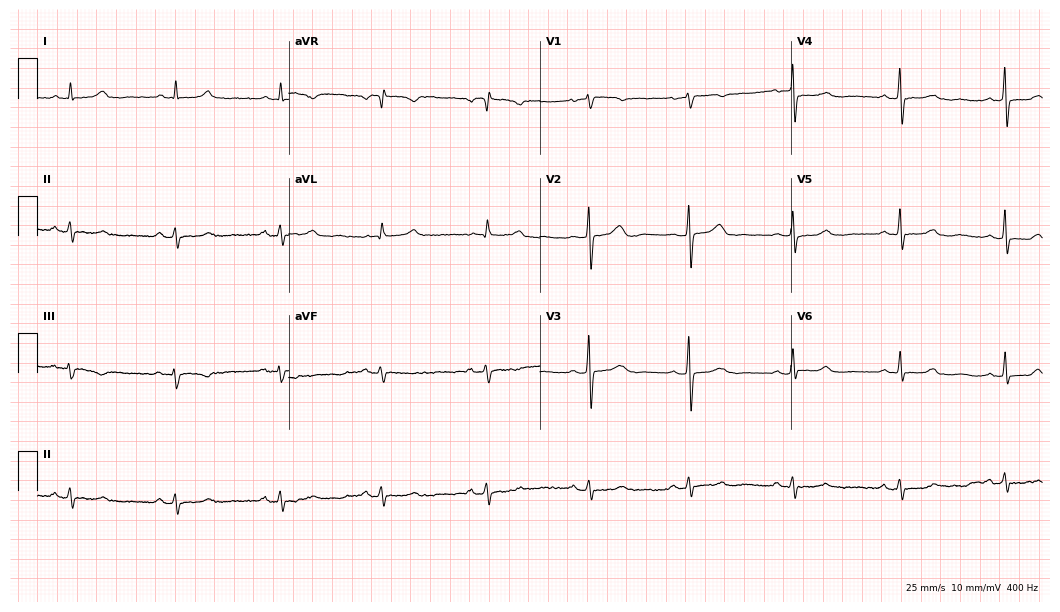
ECG (10.2-second recording at 400 Hz) — a 58-year-old female. Labelled as a normal ECG.